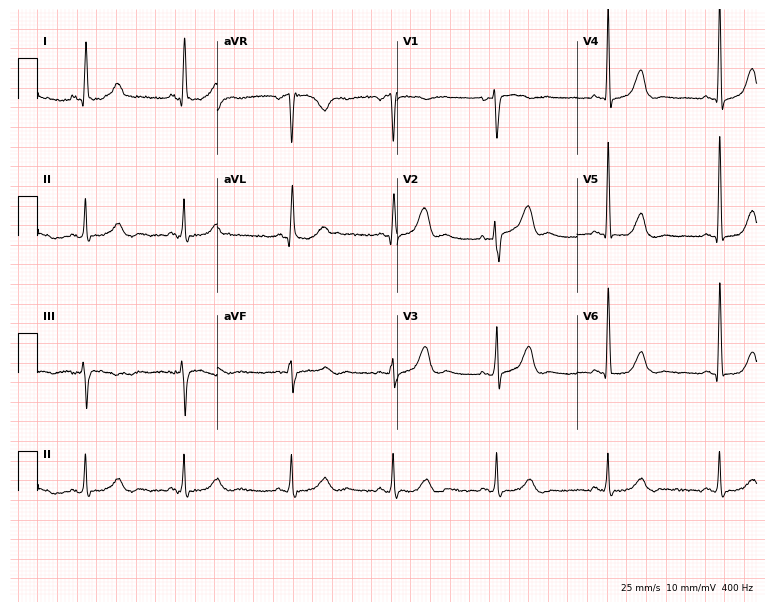
Standard 12-lead ECG recorded from a woman, 61 years old. None of these six findings is recorded: first-degree AV block, right bundle branch block, left bundle branch block, sinus bradycardia, atrial fibrillation, sinus tachycardia.